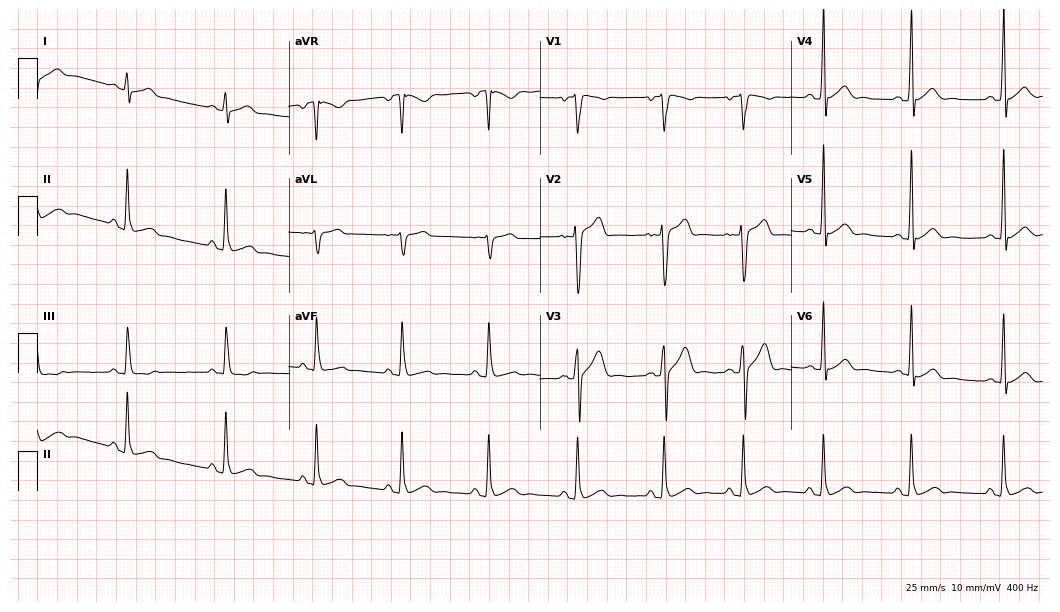
Resting 12-lead electrocardiogram. Patient: a male, 26 years old. None of these six findings is recorded: first-degree AV block, right bundle branch block, left bundle branch block, sinus bradycardia, atrial fibrillation, sinus tachycardia.